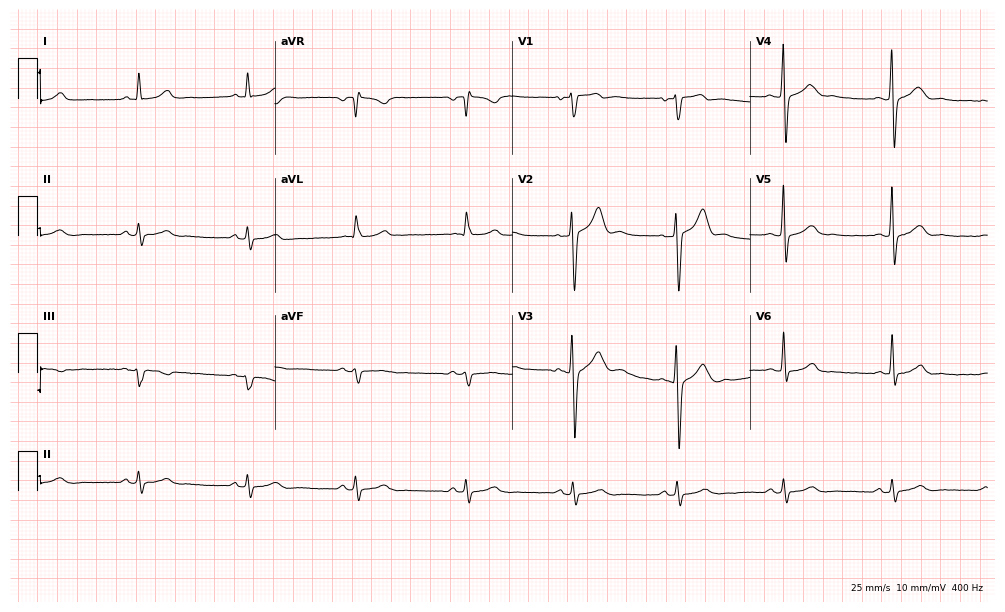
12-lead ECG (9.7-second recording at 400 Hz) from a 45-year-old male patient. Labelled as a normal ECG.